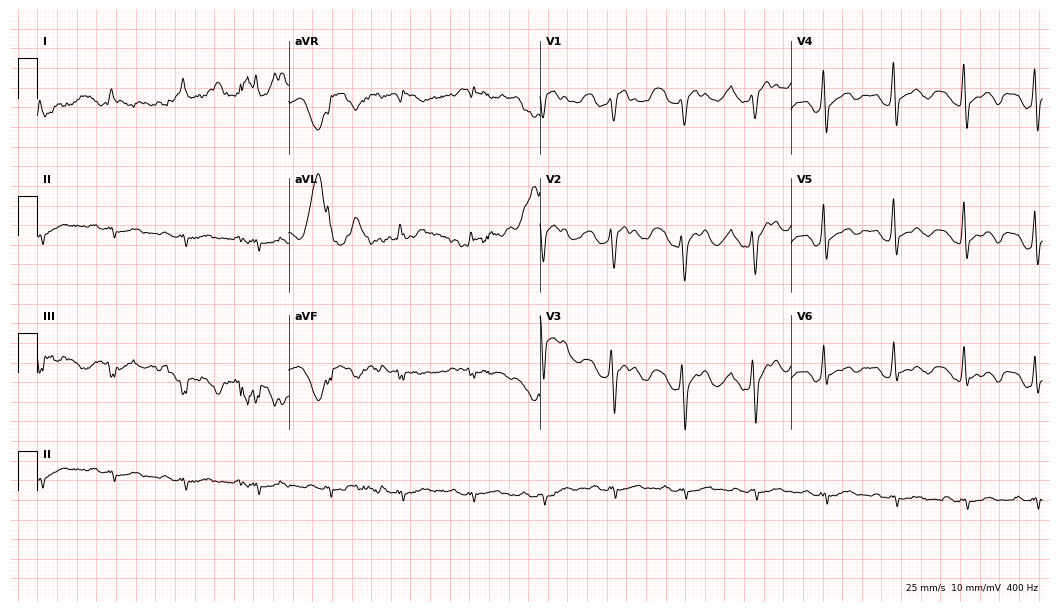
Resting 12-lead electrocardiogram (10.2-second recording at 400 Hz). Patient: a 64-year-old male. None of these six findings is recorded: first-degree AV block, right bundle branch block, left bundle branch block, sinus bradycardia, atrial fibrillation, sinus tachycardia. Other findings, if any, are not listed.